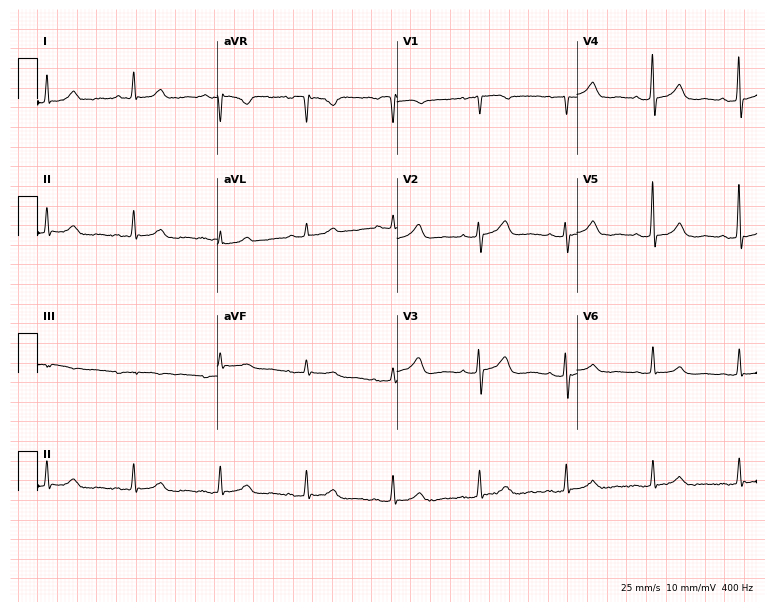
ECG — a female patient, 76 years old. Screened for six findings — first-degree AV block, right bundle branch block (RBBB), left bundle branch block (LBBB), sinus bradycardia, atrial fibrillation (AF), sinus tachycardia — none is recorded.